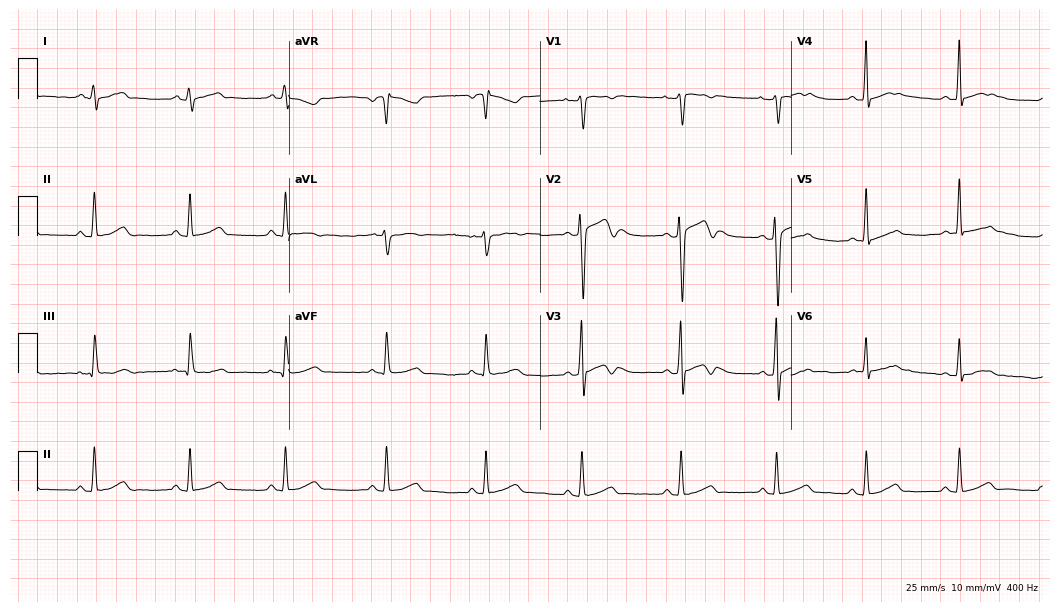
Resting 12-lead electrocardiogram (10.2-second recording at 400 Hz). Patient: a man, 20 years old. None of these six findings is recorded: first-degree AV block, right bundle branch block, left bundle branch block, sinus bradycardia, atrial fibrillation, sinus tachycardia. Other findings, if any, are not listed.